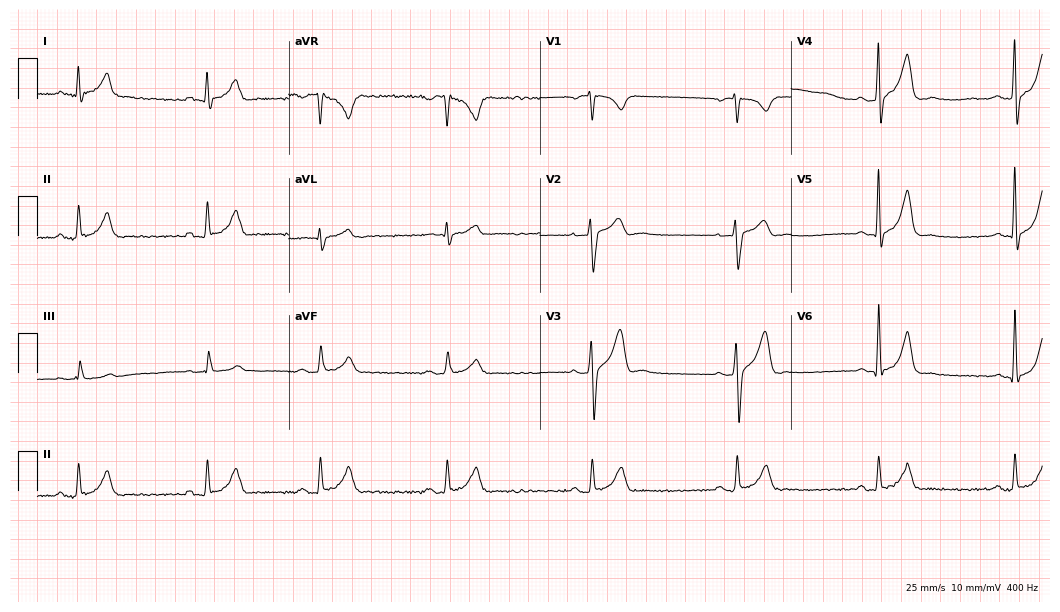
Electrocardiogram, a 37-year-old man. Interpretation includes sinus bradycardia (a sinus rate of 50 beats per minute or less).